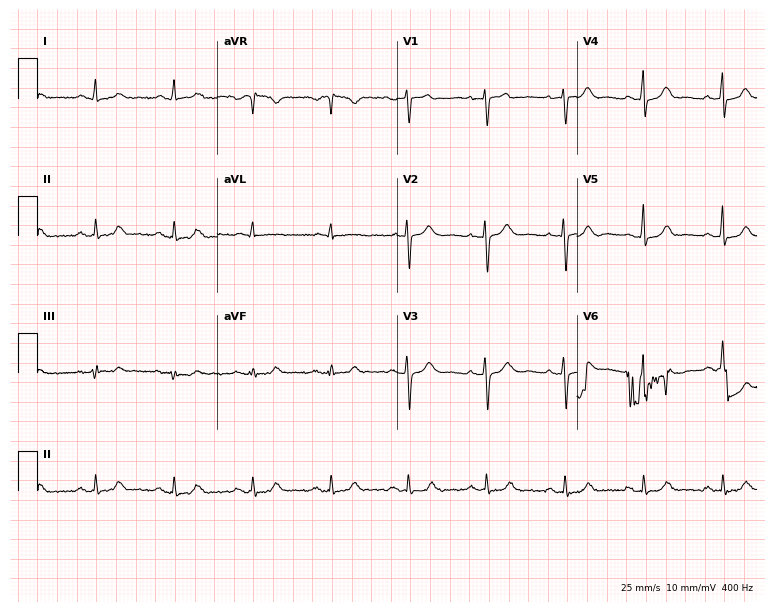
Standard 12-lead ECG recorded from a female, 44 years old. Read as a normal ECG.